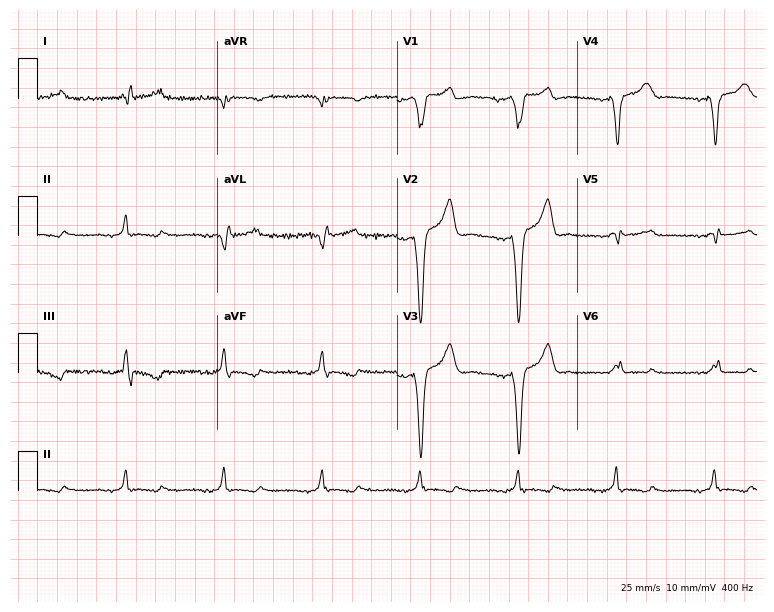
Resting 12-lead electrocardiogram (7.3-second recording at 400 Hz). Patient: a 73-year-old woman. None of these six findings is recorded: first-degree AV block, right bundle branch block (RBBB), left bundle branch block (LBBB), sinus bradycardia, atrial fibrillation (AF), sinus tachycardia. Only these six findings were labelled.